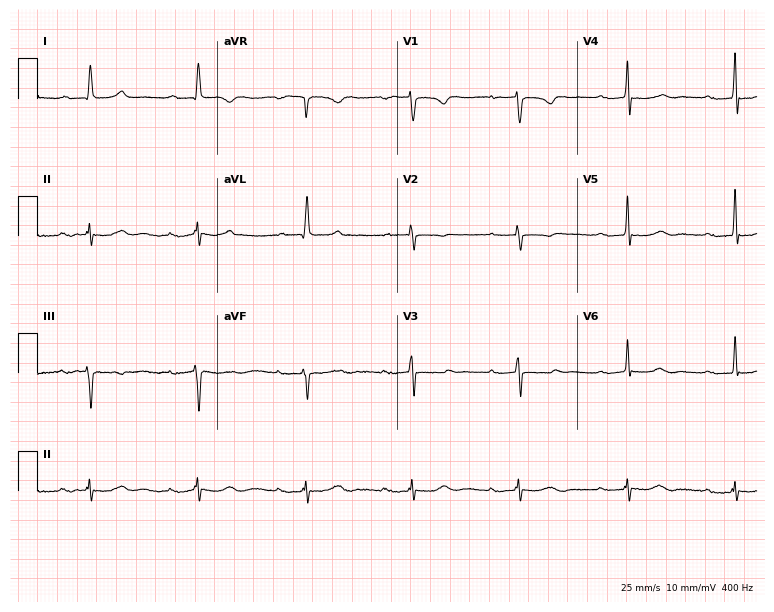
Electrocardiogram (7.3-second recording at 400 Hz), a 75-year-old woman. Interpretation includes first-degree AV block.